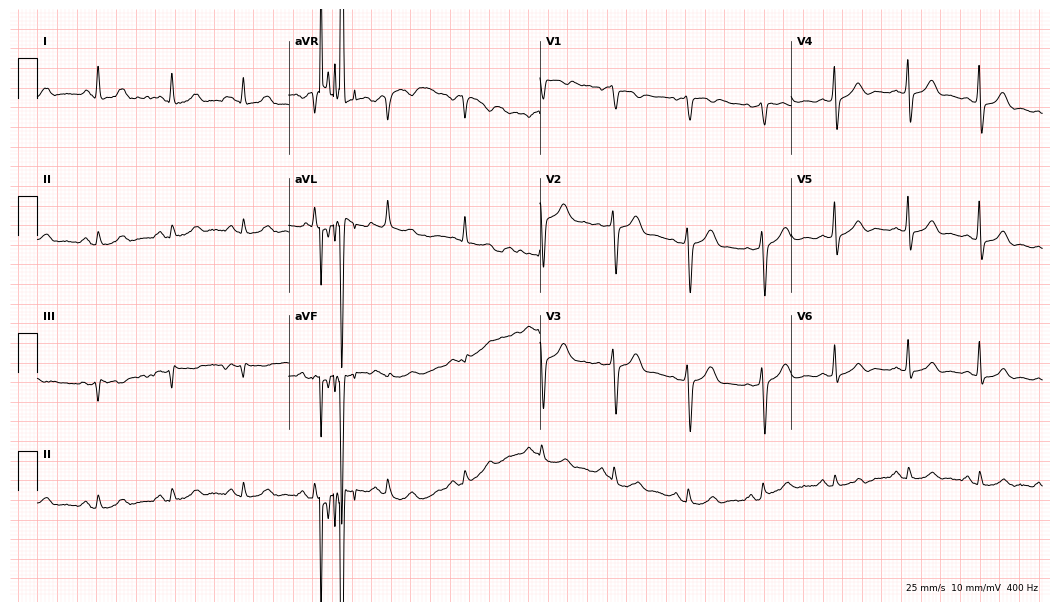
12-lead ECG from a woman, 52 years old (10.2-second recording at 400 Hz). Recorded interpretation: within normal limits.